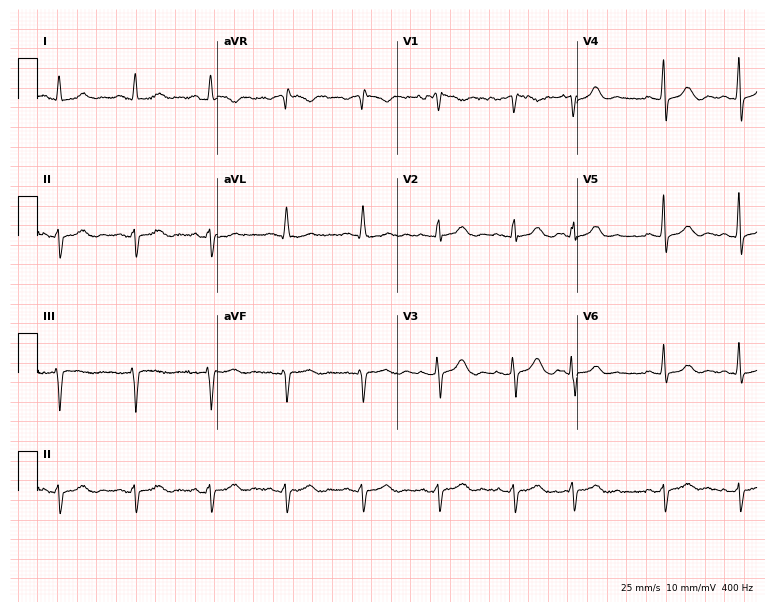
ECG (7.3-second recording at 400 Hz) — a 73-year-old female patient. Screened for six findings — first-degree AV block, right bundle branch block, left bundle branch block, sinus bradycardia, atrial fibrillation, sinus tachycardia — none is recorded.